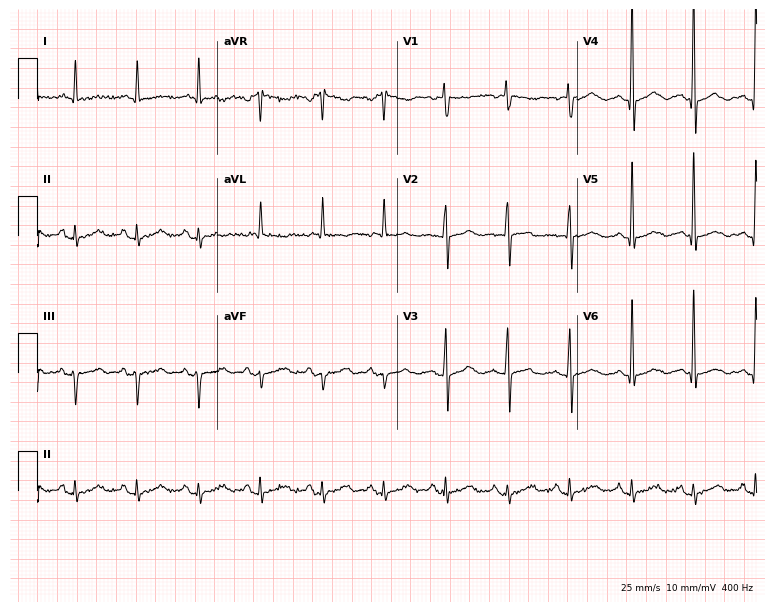
Resting 12-lead electrocardiogram (7.3-second recording at 400 Hz). Patient: a 78-year-old woman. None of these six findings is recorded: first-degree AV block, right bundle branch block, left bundle branch block, sinus bradycardia, atrial fibrillation, sinus tachycardia.